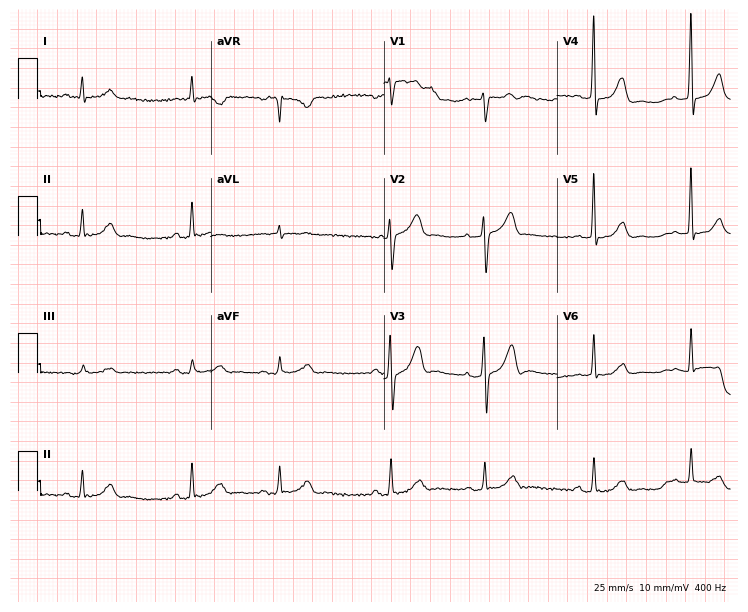
Resting 12-lead electrocardiogram. Patient: a female, 75 years old. None of these six findings is recorded: first-degree AV block, right bundle branch block, left bundle branch block, sinus bradycardia, atrial fibrillation, sinus tachycardia.